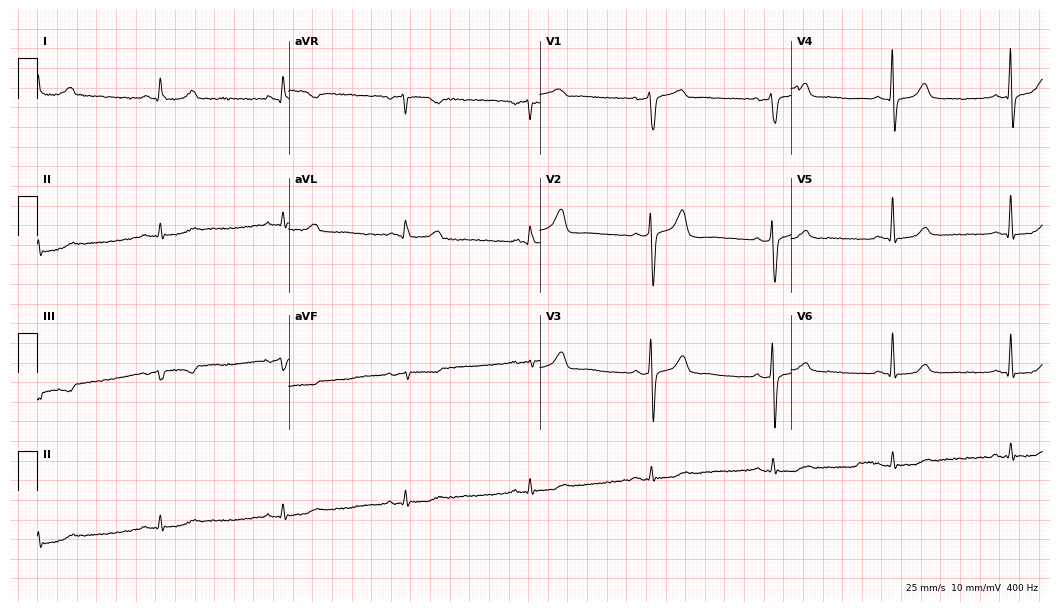
12-lead ECG (10.2-second recording at 400 Hz) from a 68-year-old male patient. Findings include sinus bradycardia (a sinus rate of 50 beats per minute or less).